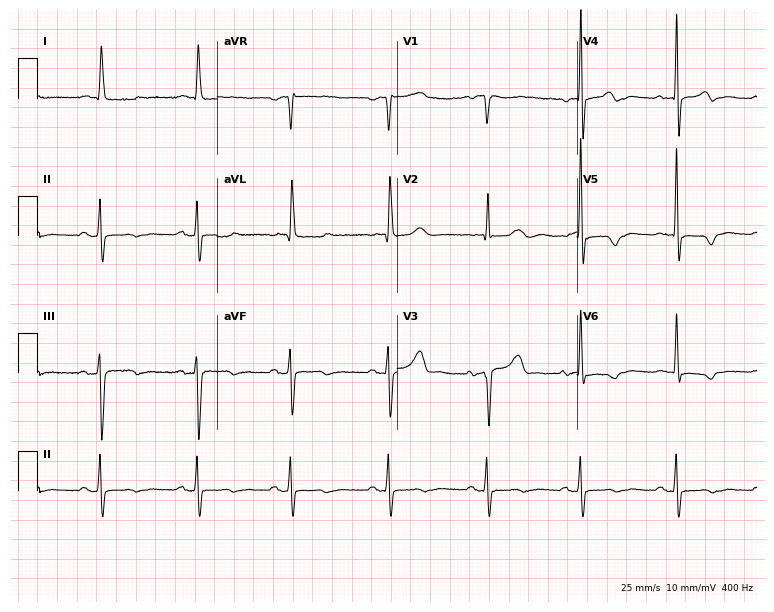
12-lead ECG (7.3-second recording at 400 Hz) from a woman, 83 years old. Screened for six findings — first-degree AV block, right bundle branch block, left bundle branch block, sinus bradycardia, atrial fibrillation, sinus tachycardia — none is recorded.